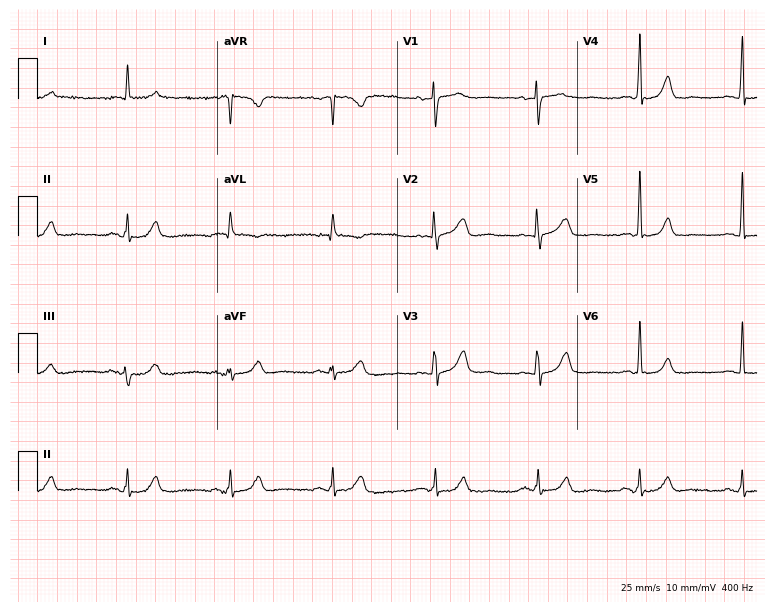
Electrocardiogram (7.3-second recording at 400 Hz), a female patient, 79 years old. Overall reading on record: normal ECG.